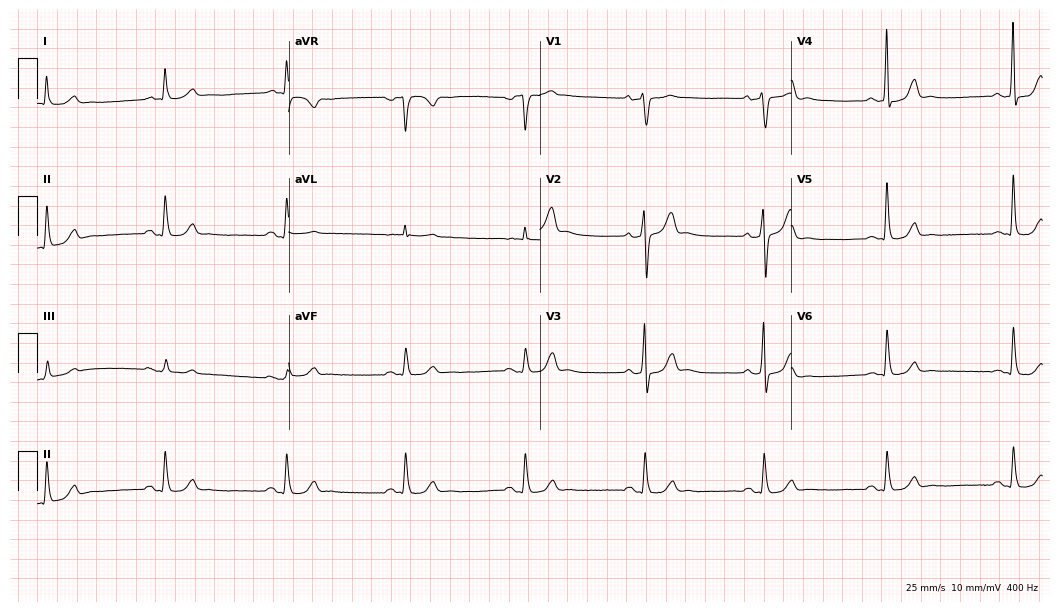
Standard 12-lead ECG recorded from a 74-year-old male patient. The tracing shows sinus bradycardia (a sinus rate of 50 beats per minute or less).